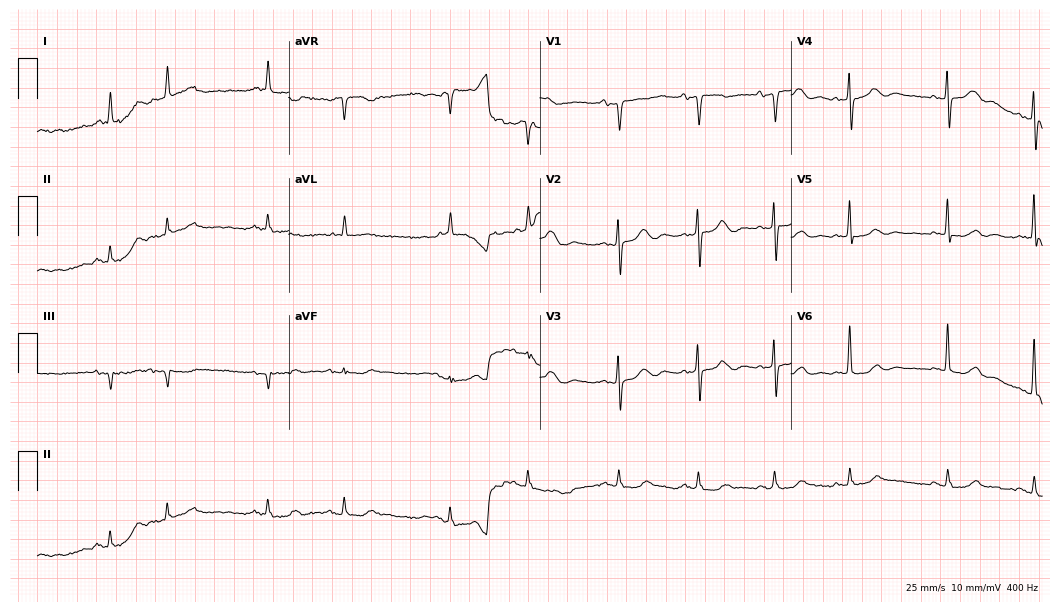
12-lead ECG from a woman, 85 years old (10.2-second recording at 400 Hz). No first-degree AV block, right bundle branch block, left bundle branch block, sinus bradycardia, atrial fibrillation or sinus tachycardia recorded for this tracing.